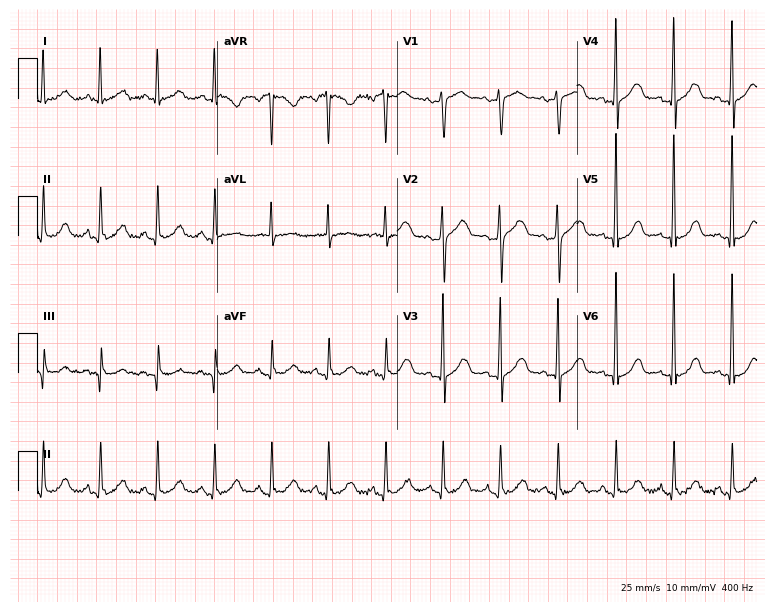
Standard 12-lead ECG recorded from a 65-year-old female patient (7.3-second recording at 400 Hz). The tracing shows sinus tachycardia (a sinus rate of 100 beats per minute or more).